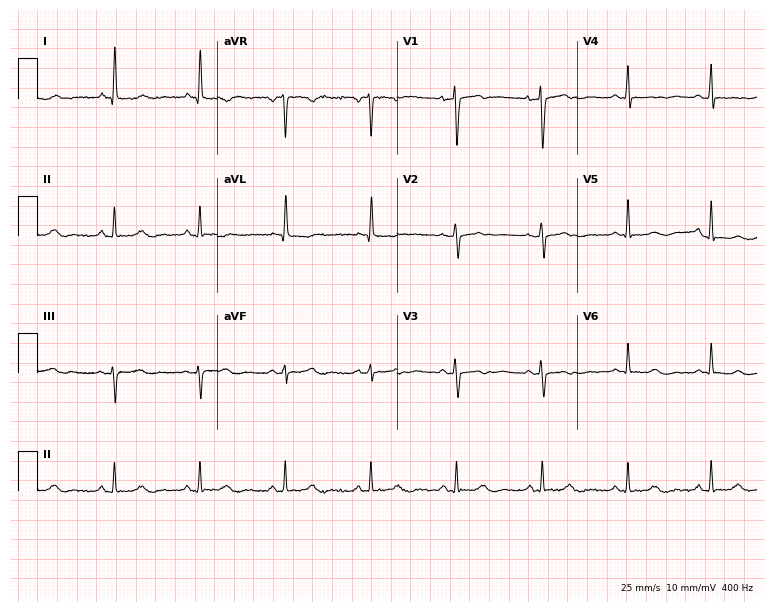
Electrocardiogram (7.3-second recording at 400 Hz), a 55-year-old female patient. Overall reading on record: normal ECG.